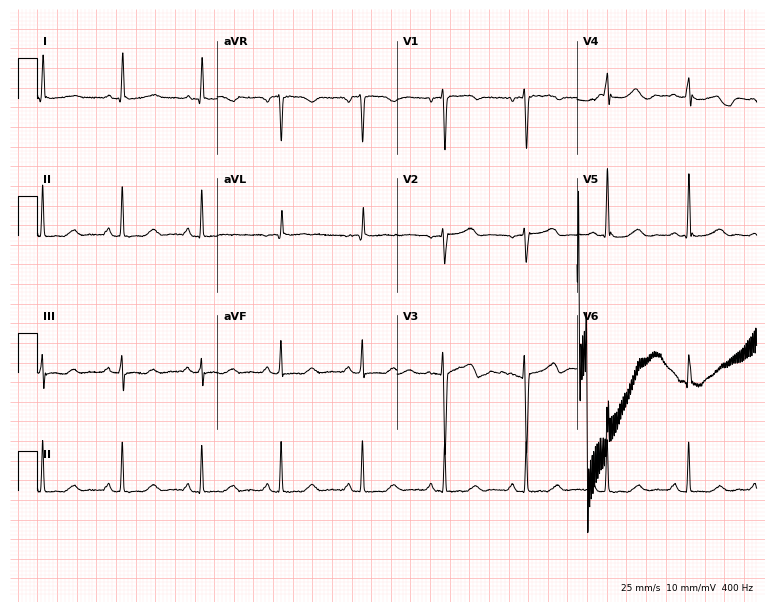
12-lead ECG from a female patient, 47 years old (7.3-second recording at 400 Hz). No first-degree AV block, right bundle branch block, left bundle branch block, sinus bradycardia, atrial fibrillation or sinus tachycardia recorded for this tracing.